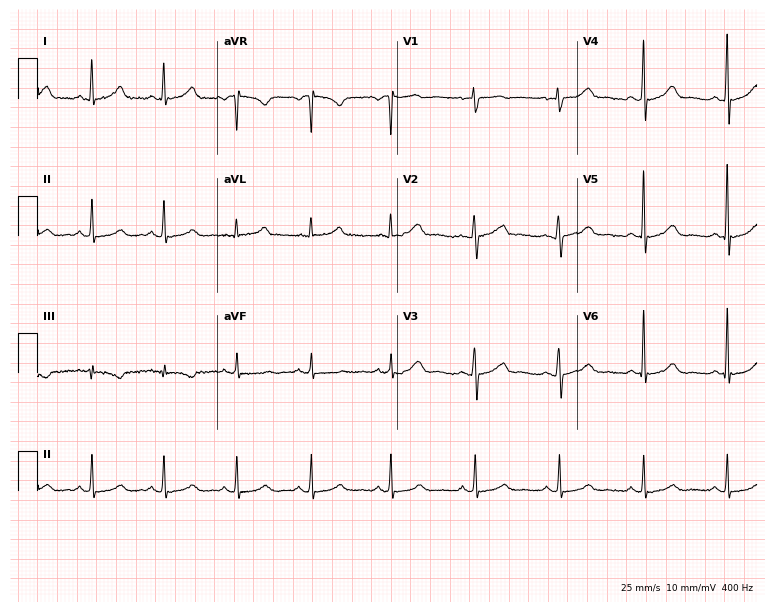
12-lead ECG from a 42-year-old female. Recorded interpretation: within normal limits.